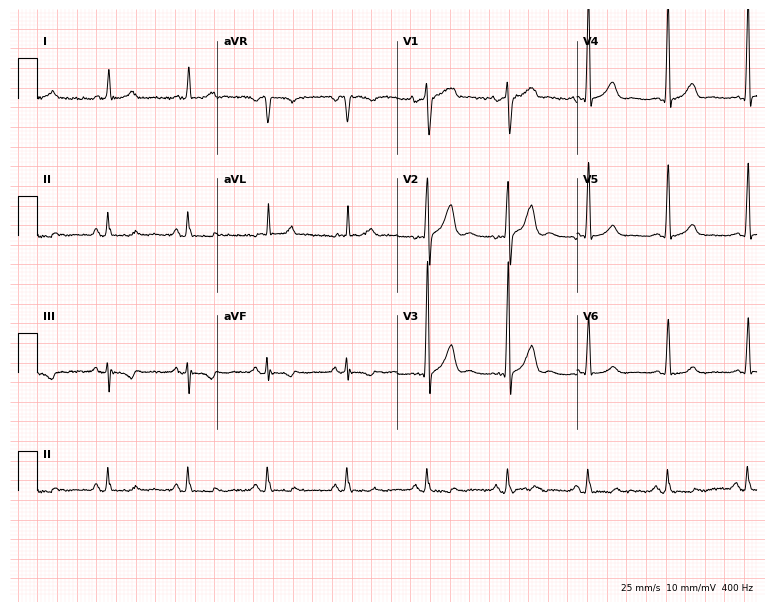
Electrocardiogram (7.3-second recording at 400 Hz), a 41-year-old male. Overall reading on record: normal ECG.